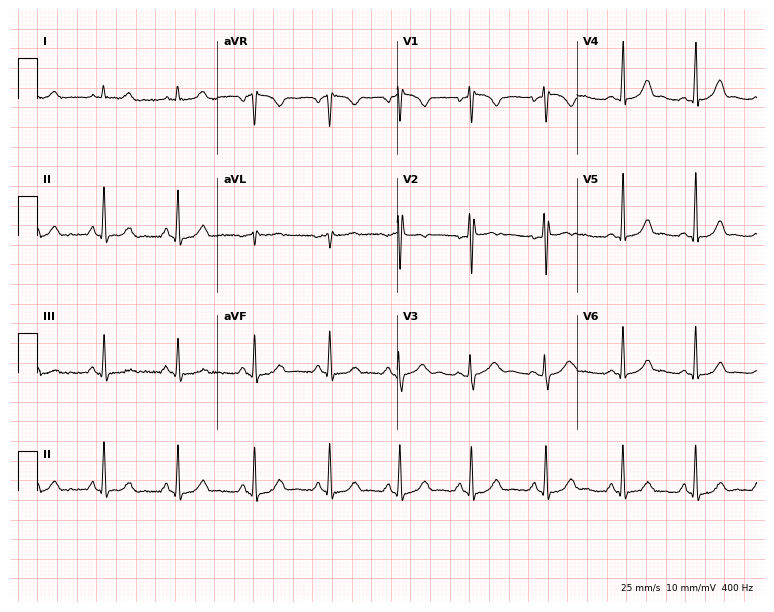
Electrocardiogram, a female, 25 years old. Of the six screened findings (first-degree AV block, right bundle branch block (RBBB), left bundle branch block (LBBB), sinus bradycardia, atrial fibrillation (AF), sinus tachycardia), none is recorded. Only these six findings were labelled.